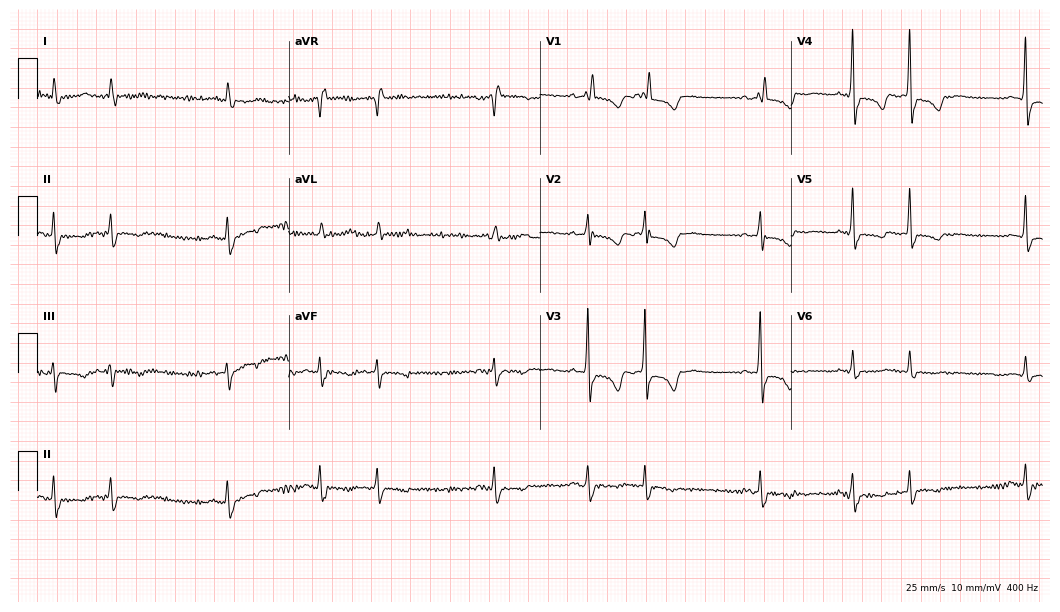
12-lead ECG from a 74-year-old female patient (10.2-second recording at 400 Hz). No first-degree AV block, right bundle branch block, left bundle branch block, sinus bradycardia, atrial fibrillation or sinus tachycardia recorded for this tracing.